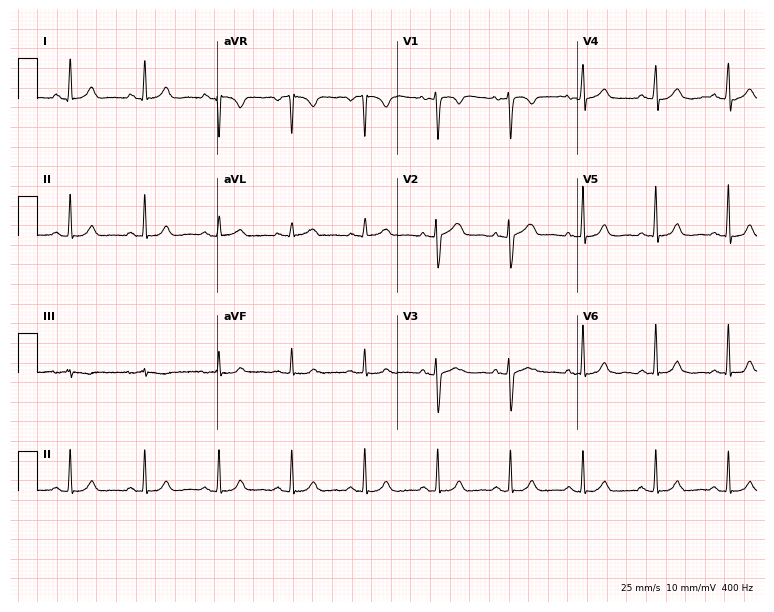
Standard 12-lead ECG recorded from a woman, 42 years old (7.3-second recording at 400 Hz). Read as a normal ECG.